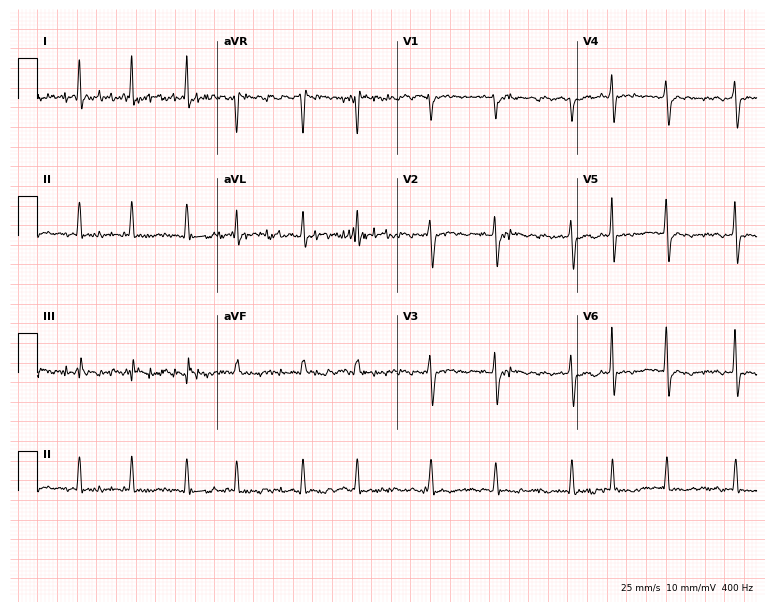
Standard 12-lead ECG recorded from a female, 56 years old. The tracing shows atrial fibrillation.